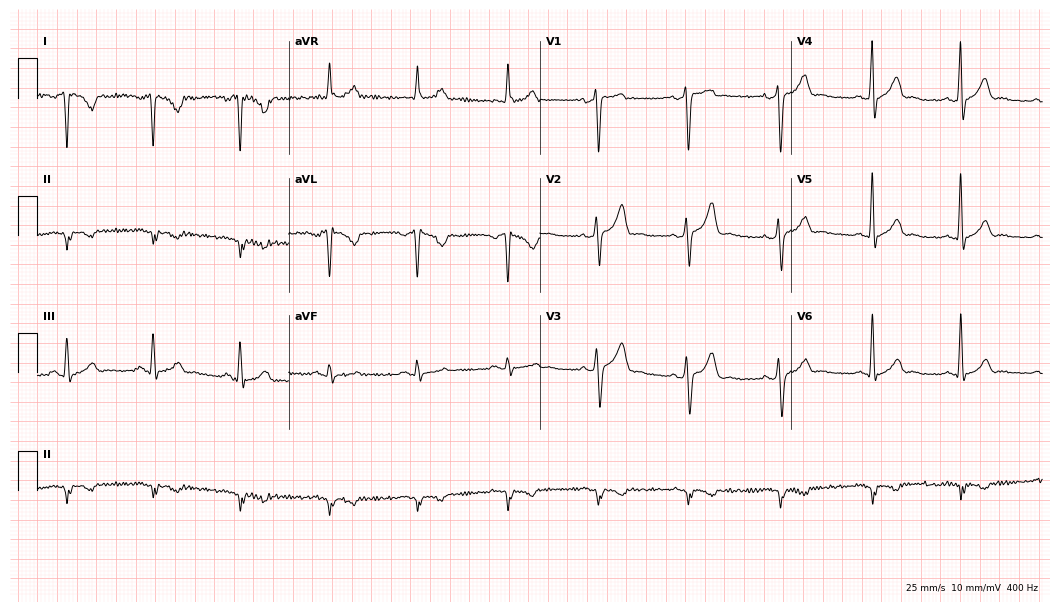
Electrocardiogram, a 26-year-old male patient. Of the six screened findings (first-degree AV block, right bundle branch block, left bundle branch block, sinus bradycardia, atrial fibrillation, sinus tachycardia), none is recorded.